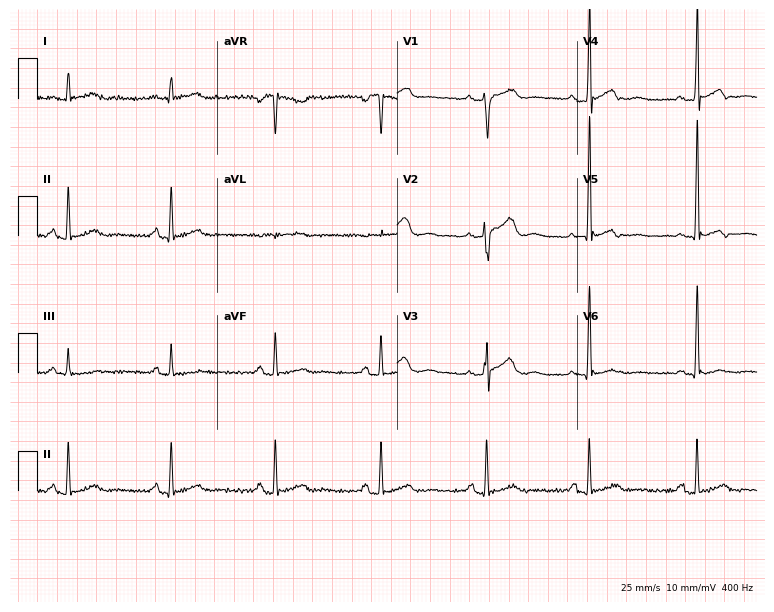
Electrocardiogram (7.3-second recording at 400 Hz), a 49-year-old male patient. Overall reading on record: normal ECG.